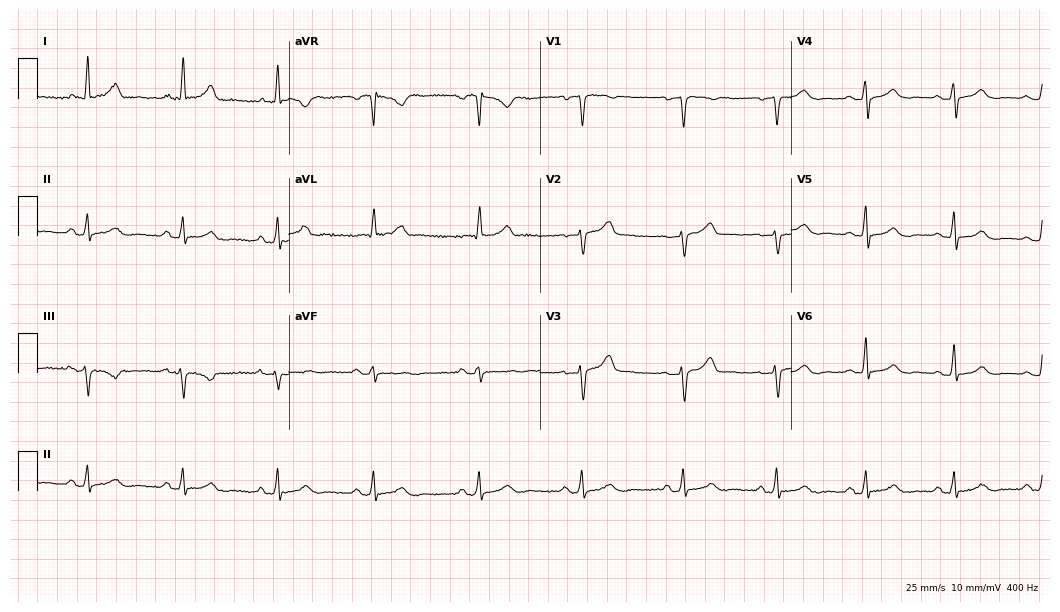
Resting 12-lead electrocardiogram. Patient: a 55-year-old female. Read as a normal ECG.